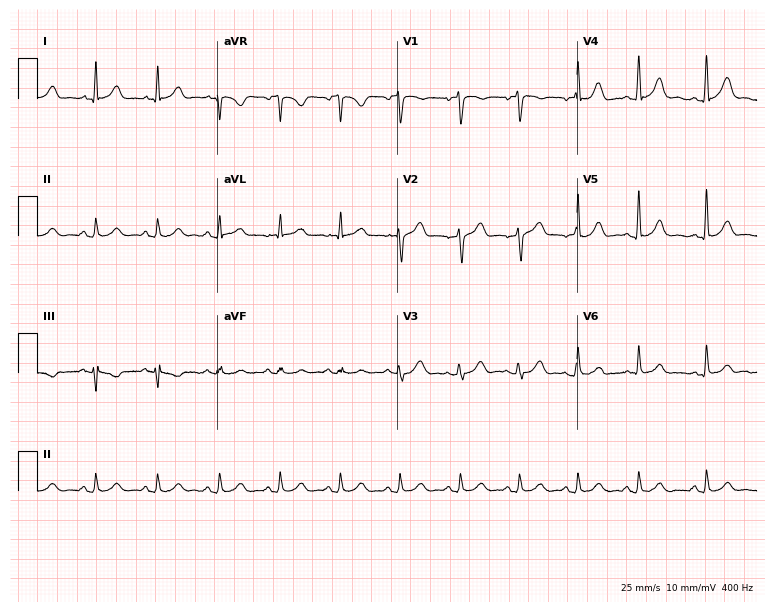
Standard 12-lead ECG recorded from a male, 54 years old. None of these six findings is recorded: first-degree AV block, right bundle branch block, left bundle branch block, sinus bradycardia, atrial fibrillation, sinus tachycardia.